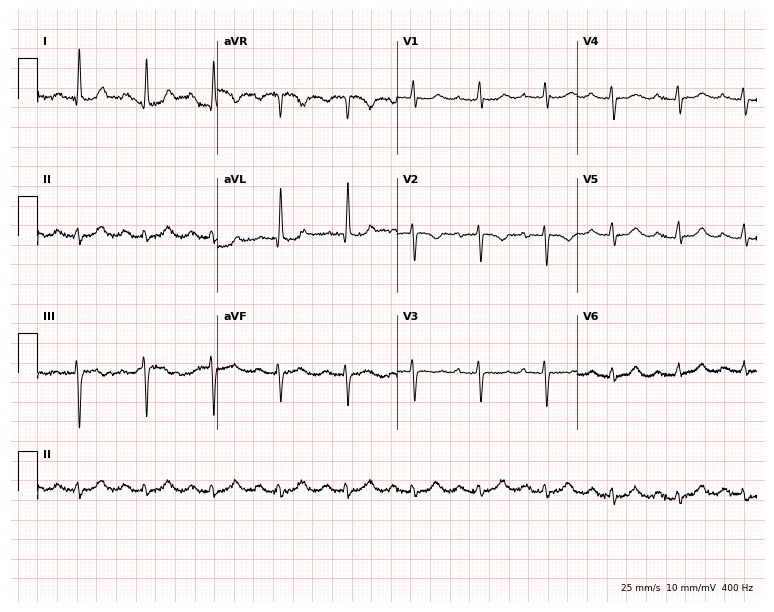
12-lead ECG from an 81-year-old female (7.3-second recording at 400 Hz). No first-degree AV block, right bundle branch block, left bundle branch block, sinus bradycardia, atrial fibrillation or sinus tachycardia recorded for this tracing. Findings outside these six are not listed.